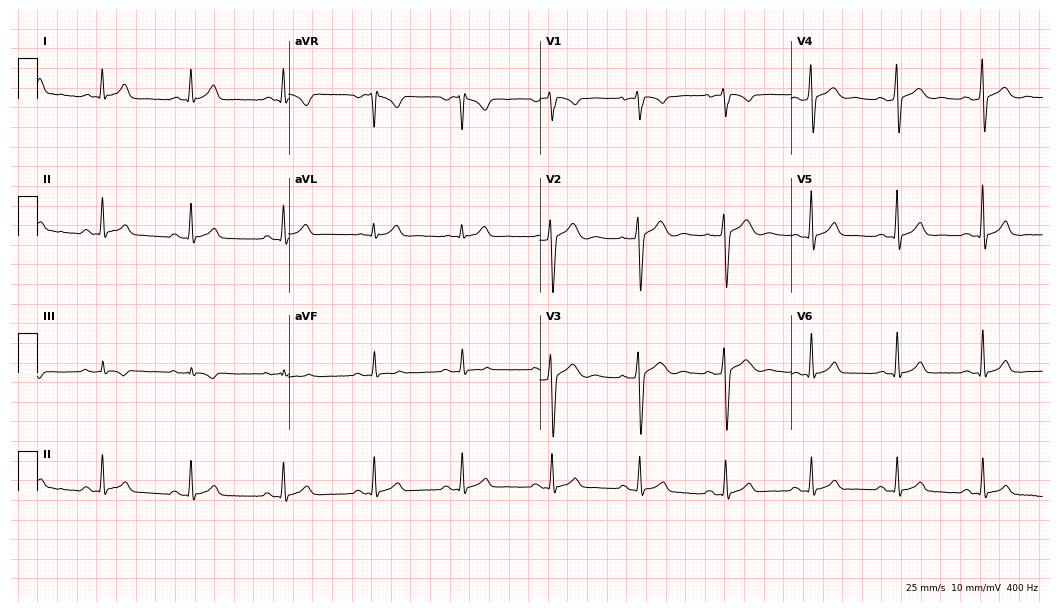
12-lead ECG from a male, 31 years old. No first-degree AV block, right bundle branch block (RBBB), left bundle branch block (LBBB), sinus bradycardia, atrial fibrillation (AF) or sinus tachycardia recorded for this tracing. Other findings, if any, are not listed.